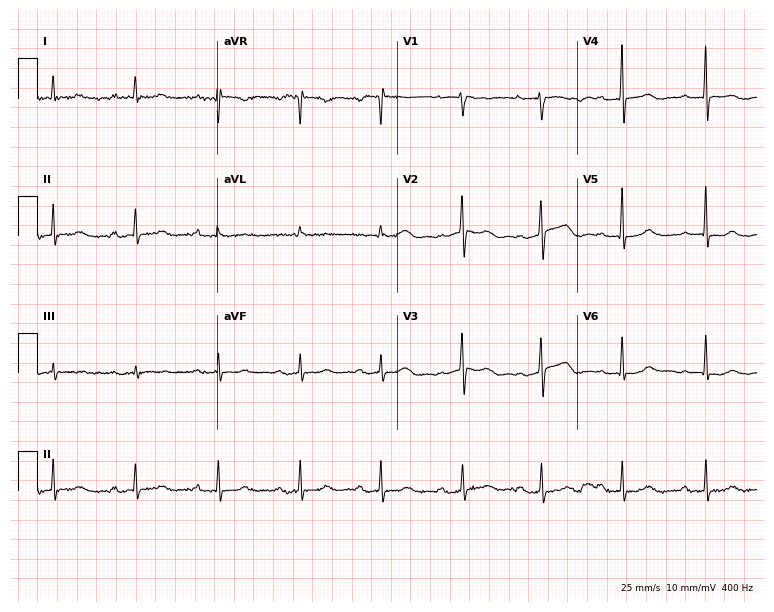
Electrocardiogram, a 44-year-old female. Of the six screened findings (first-degree AV block, right bundle branch block (RBBB), left bundle branch block (LBBB), sinus bradycardia, atrial fibrillation (AF), sinus tachycardia), none is recorded.